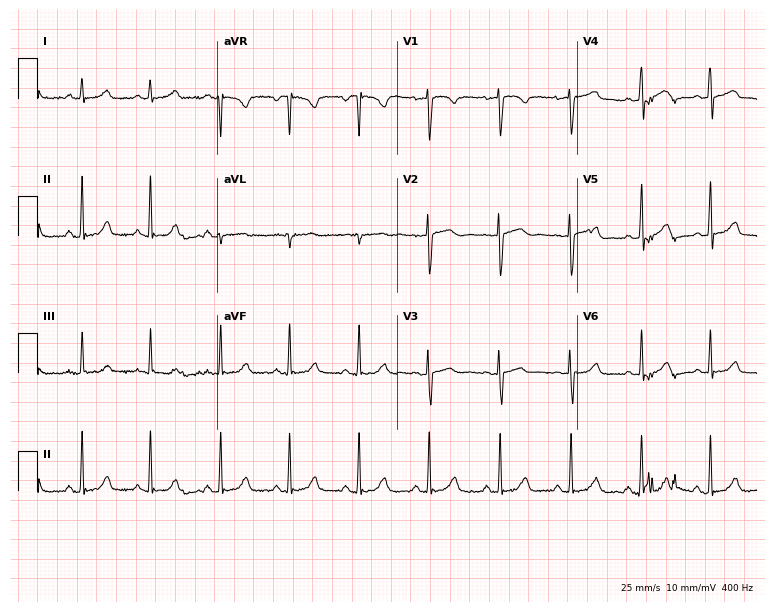
Resting 12-lead electrocardiogram (7.3-second recording at 400 Hz). Patient: a 38-year-old male. Read as a normal ECG.